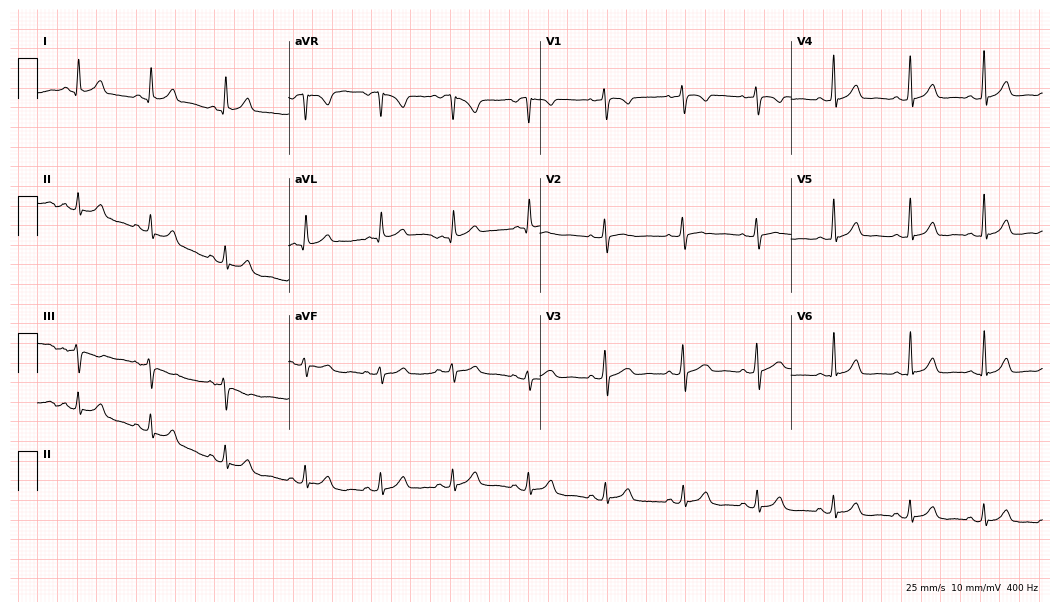
12-lead ECG from a woman, 40 years old. Screened for six findings — first-degree AV block, right bundle branch block, left bundle branch block, sinus bradycardia, atrial fibrillation, sinus tachycardia — none is recorded.